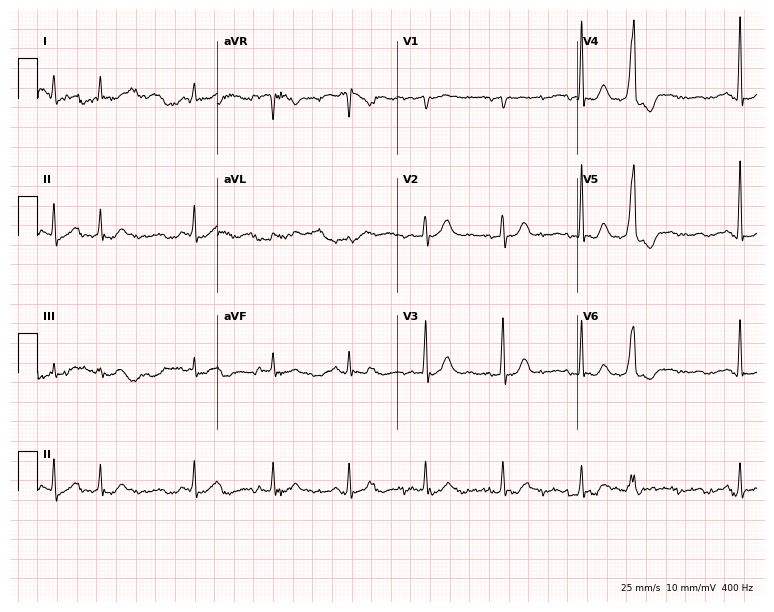
ECG (7.3-second recording at 400 Hz) — a man, 78 years old. Screened for six findings — first-degree AV block, right bundle branch block, left bundle branch block, sinus bradycardia, atrial fibrillation, sinus tachycardia — none is recorded.